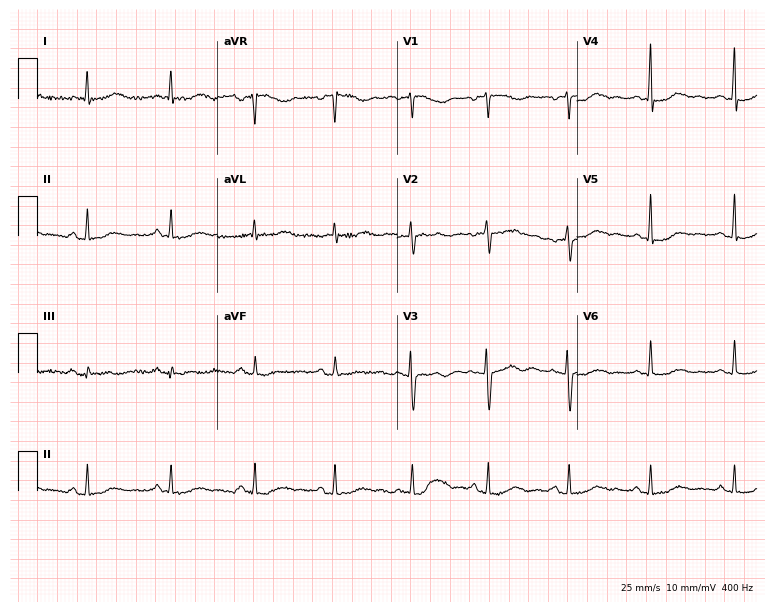
12-lead ECG from a female, 64 years old. Screened for six findings — first-degree AV block, right bundle branch block, left bundle branch block, sinus bradycardia, atrial fibrillation, sinus tachycardia — none is recorded. Only these six findings were labelled.